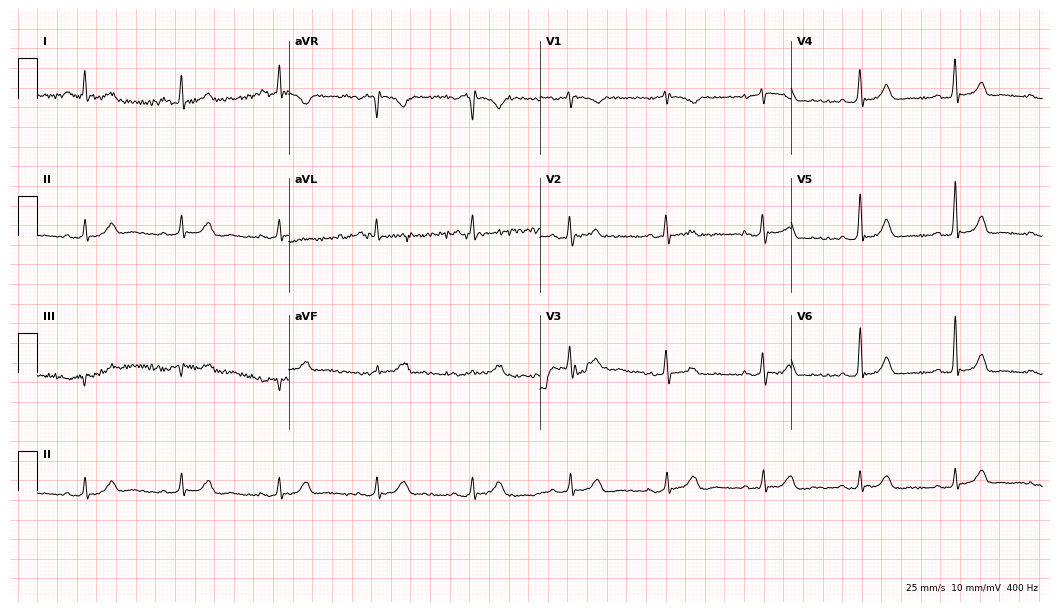
12-lead ECG from a 66-year-old female. Labelled as a normal ECG.